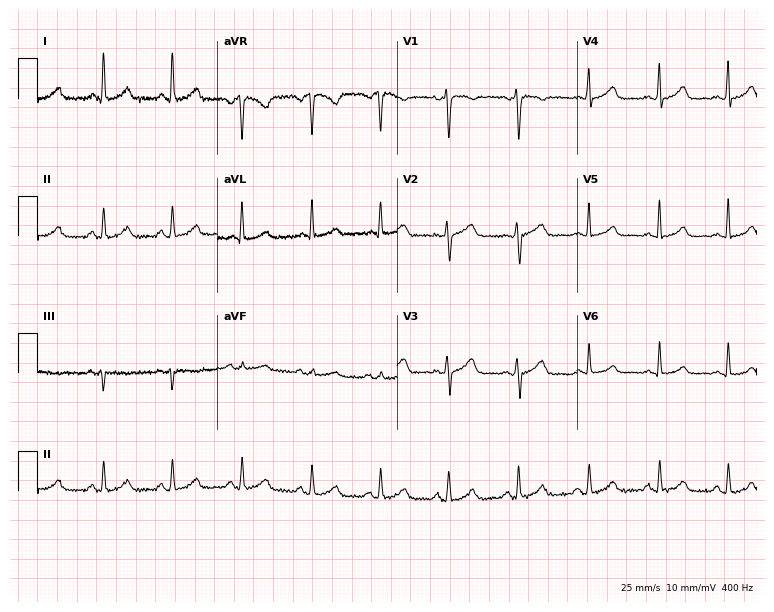
12-lead ECG (7.3-second recording at 400 Hz) from a 41-year-old female patient. Labelled as a normal ECG.